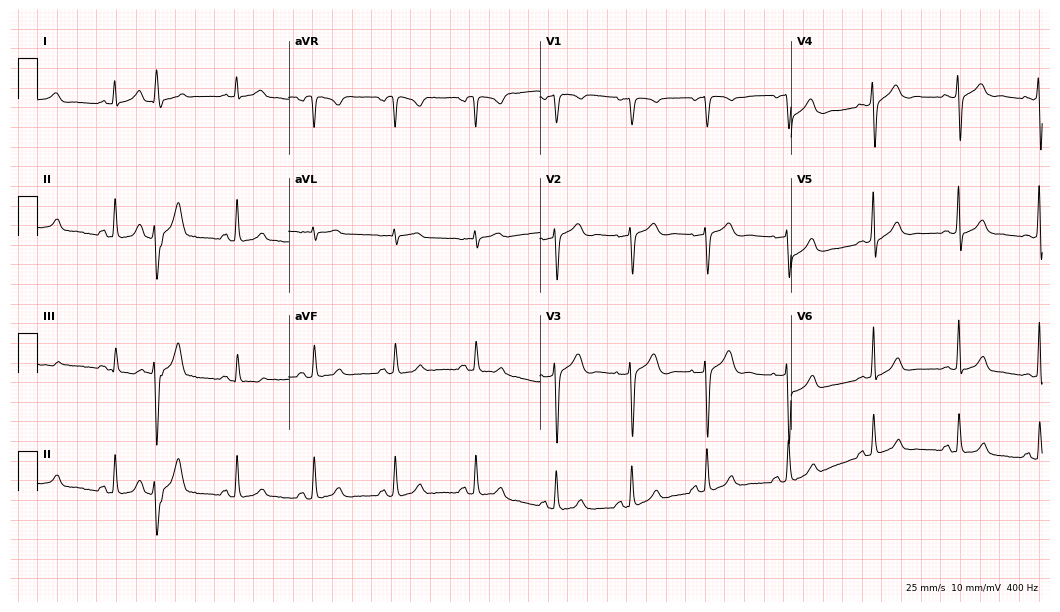
12-lead ECG from a female, 34 years old. Labelled as a normal ECG.